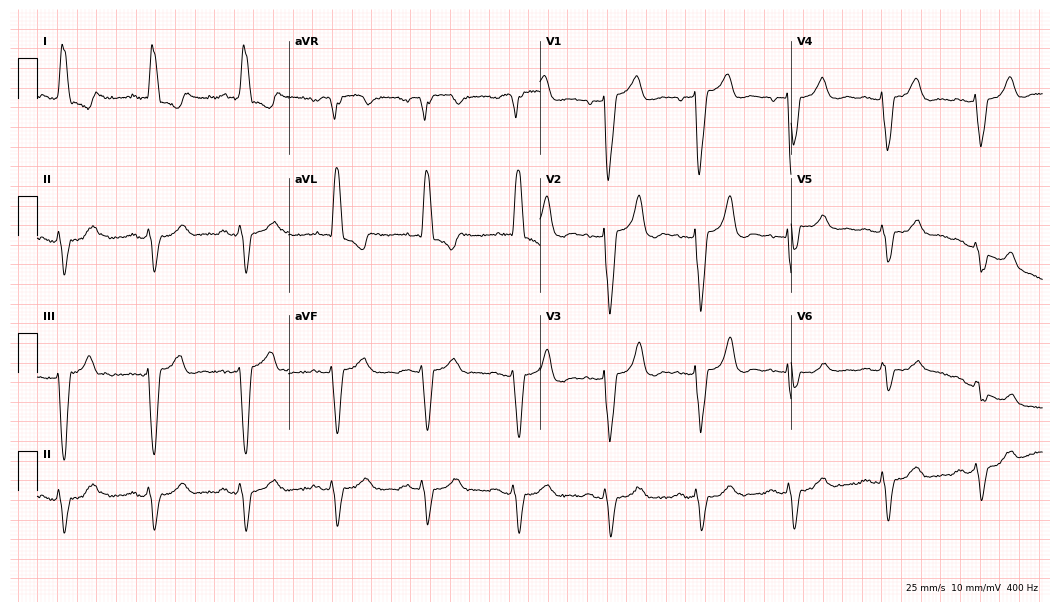
Resting 12-lead electrocardiogram (10.2-second recording at 400 Hz). Patient: a woman, 87 years old. The tracing shows left bundle branch block.